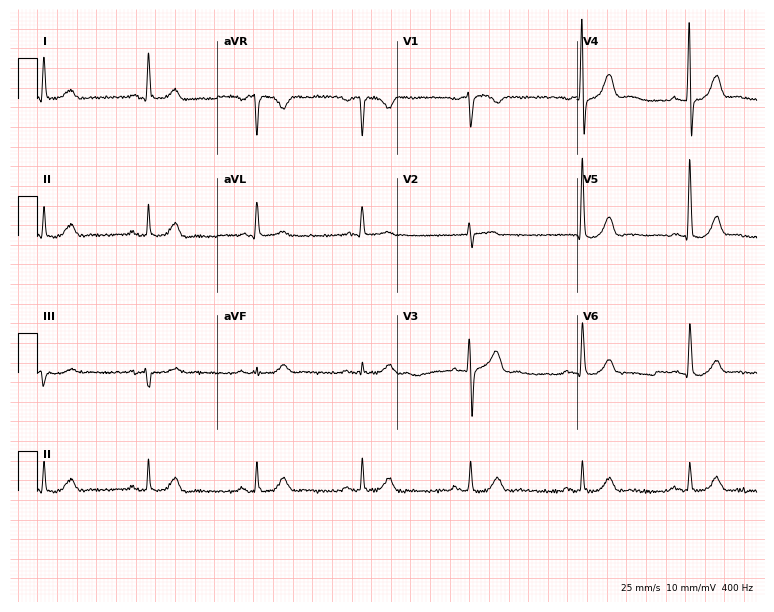
12-lead ECG (7.3-second recording at 400 Hz) from a man, 67 years old. Labelled as a normal ECG.